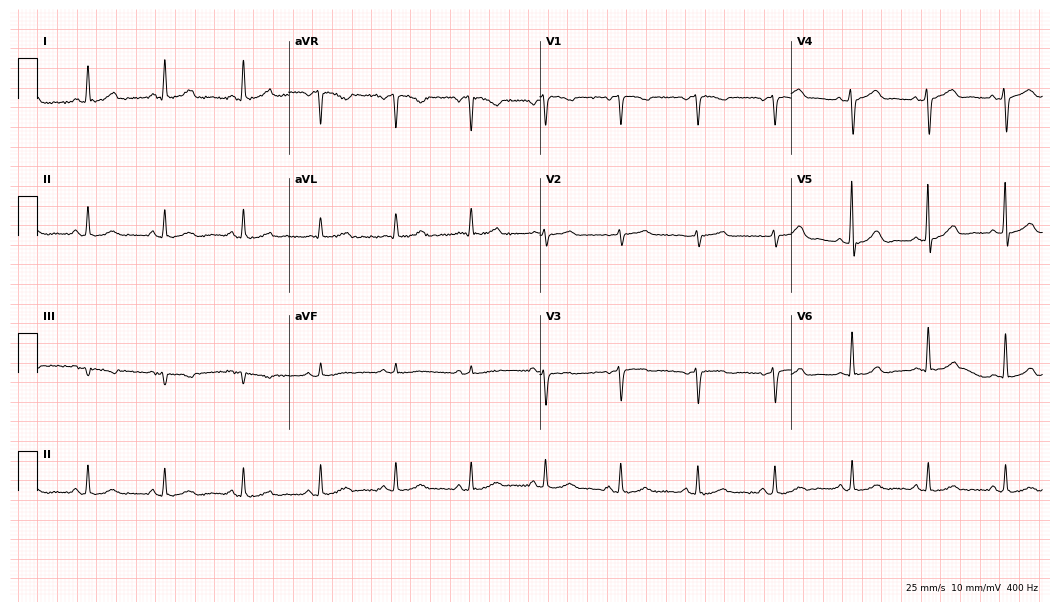
ECG — a 46-year-old female. Labelled as a normal ECG.